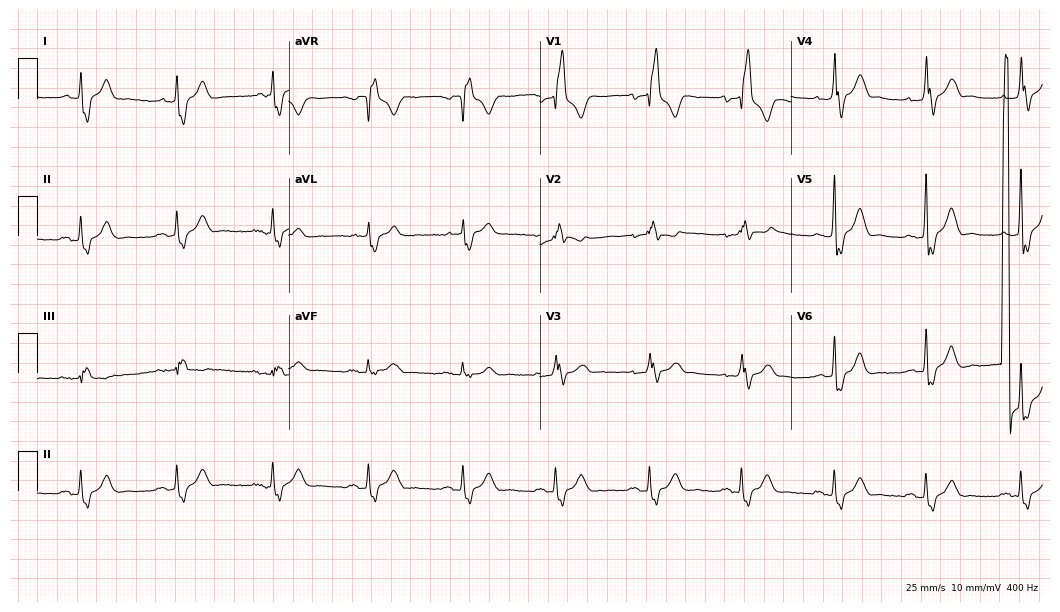
ECG — a male, 63 years old. Findings include right bundle branch block.